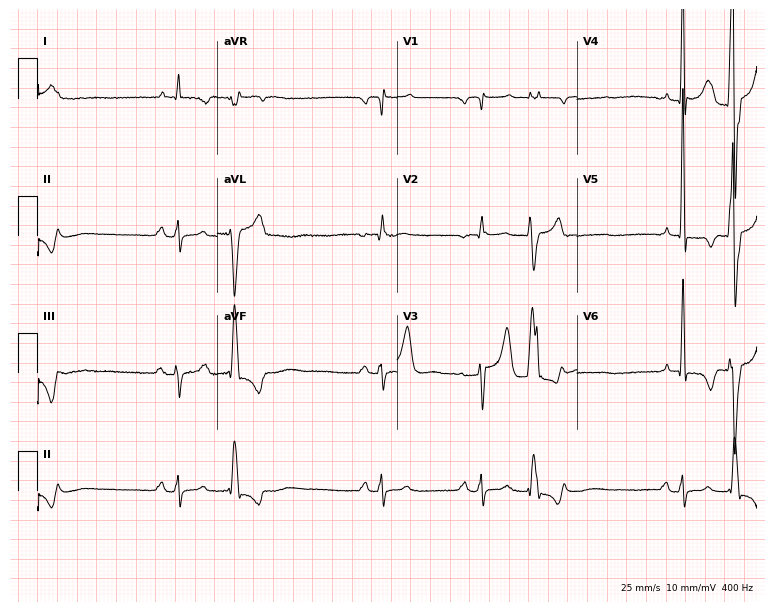
12-lead ECG from a 78-year-old male. Screened for six findings — first-degree AV block, right bundle branch block, left bundle branch block, sinus bradycardia, atrial fibrillation, sinus tachycardia — none is recorded.